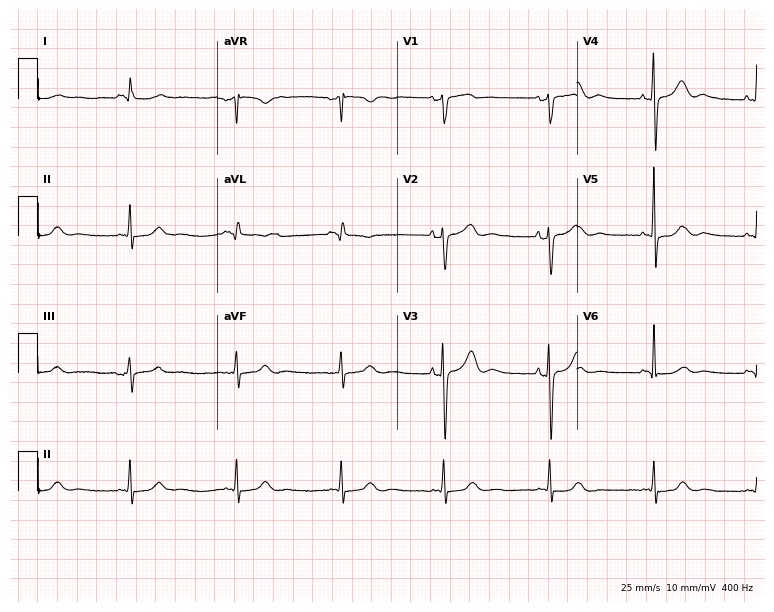
Electrocardiogram, a 47-year-old woman. Overall reading on record: normal ECG.